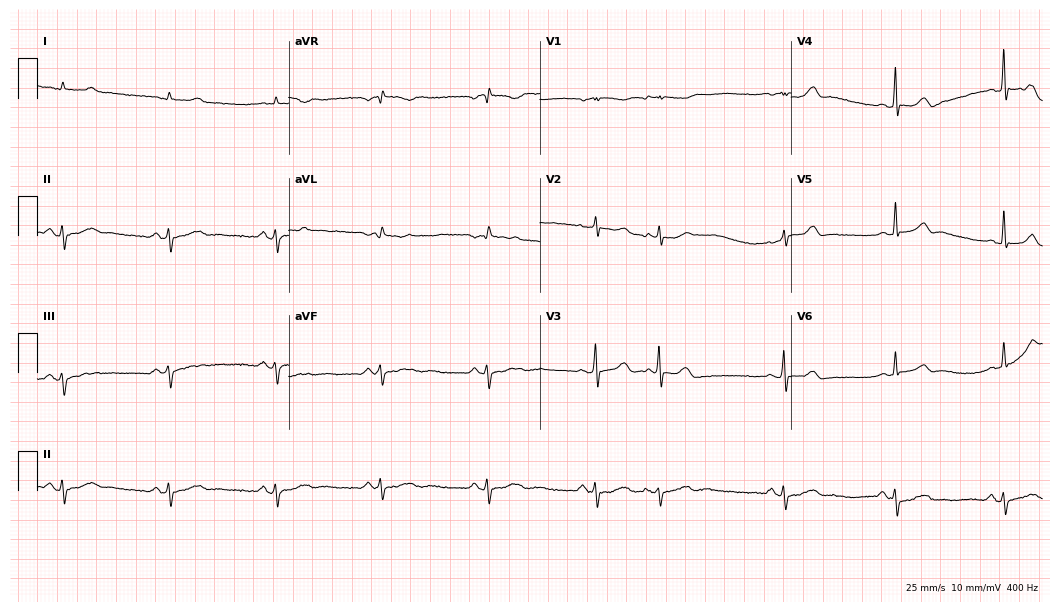
Resting 12-lead electrocardiogram (10.2-second recording at 400 Hz). Patient: an 81-year-old male. None of these six findings is recorded: first-degree AV block, right bundle branch block, left bundle branch block, sinus bradycardia, atrial fibrillation, sinus tachycardia. Other findings, if any, are not listed.